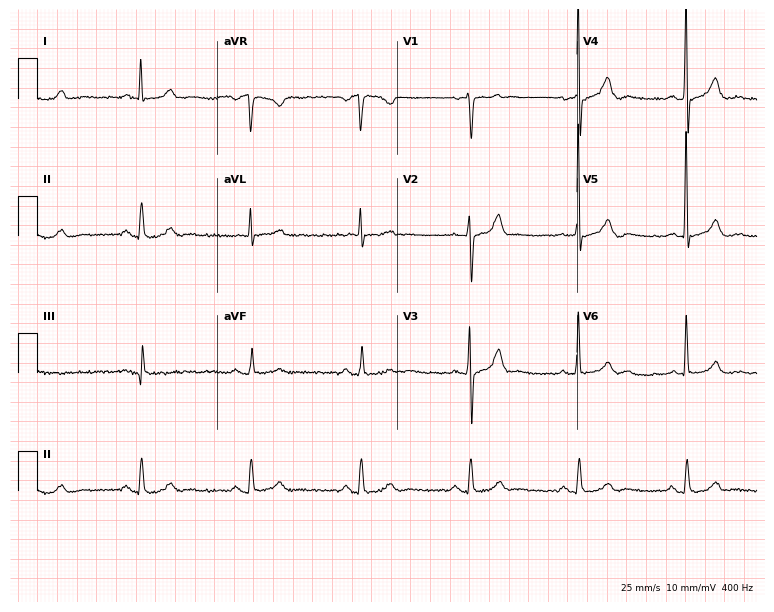
Standard 12-lead ECG recorded from a 77-year-old male (7.3-second recording at 400 Hz). Read as a normal ECG.